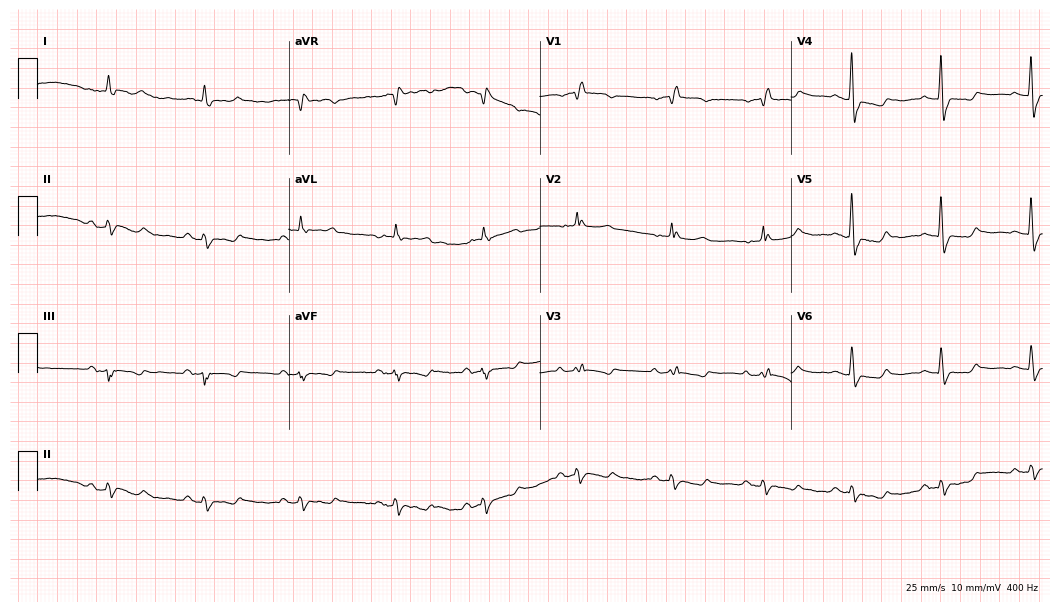
ECG — an 83-year-old female. Screened for six findings — first-degree AV block, right bundle branch block, left bundle branch block, sinus bradycardia, atrial fibrillation, sinus tachycardia — none is recorded.